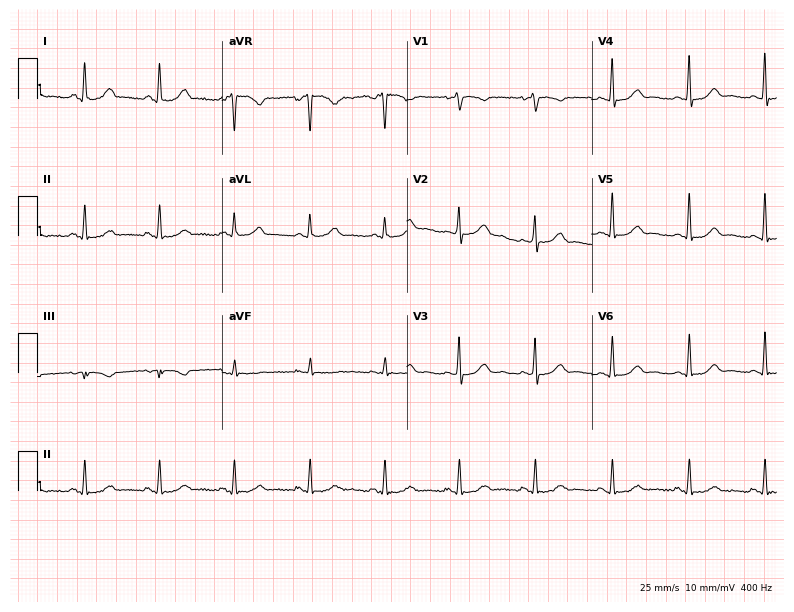
12-lead ECG from a 47-year-old female. Recorded interpretation: within normal limits.